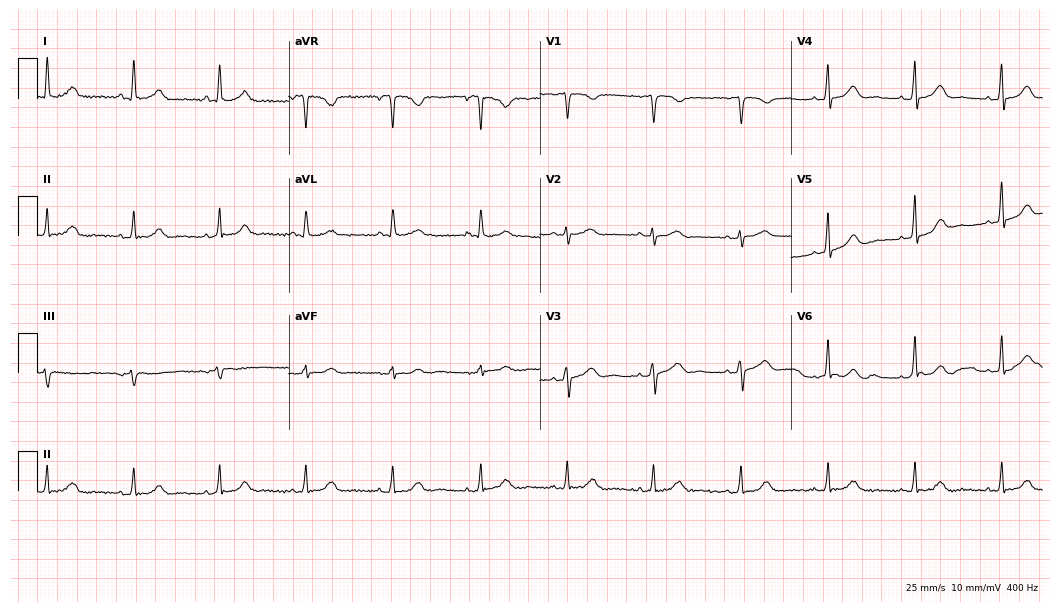
Standard 12-lead ECG recorded from a 66-year-old woman. Read as a normal ECG.